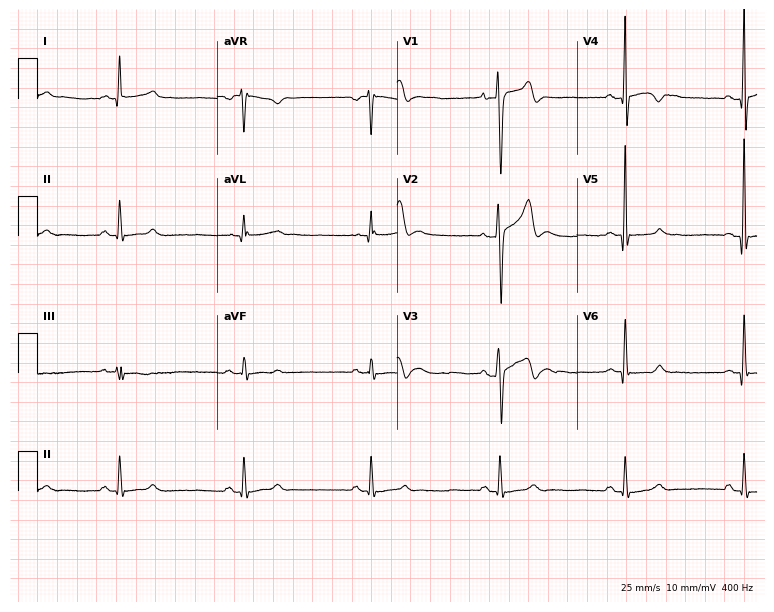
ECG — a male, 34 years old. Findings include sinus bradycardia (a sinus rate of 50 beats per minute or less).